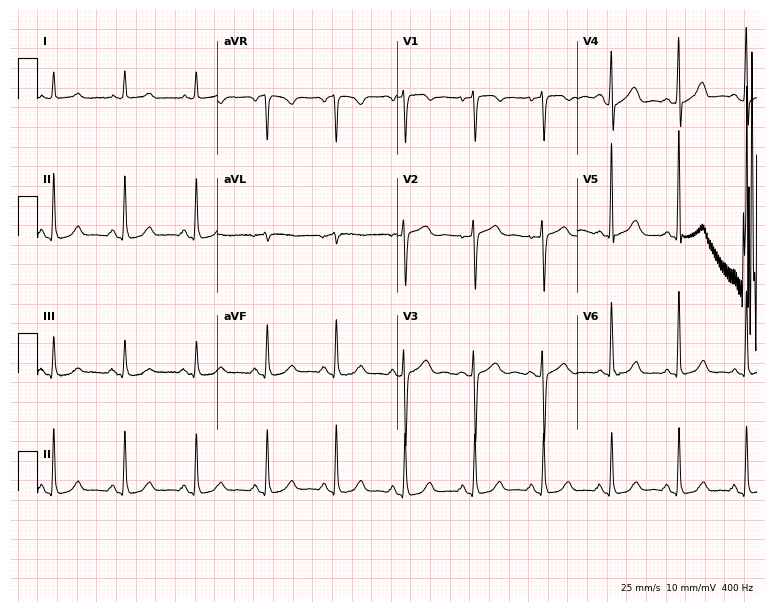
ECG — a 54-year-old female patient. Labelled as a normal ECG.